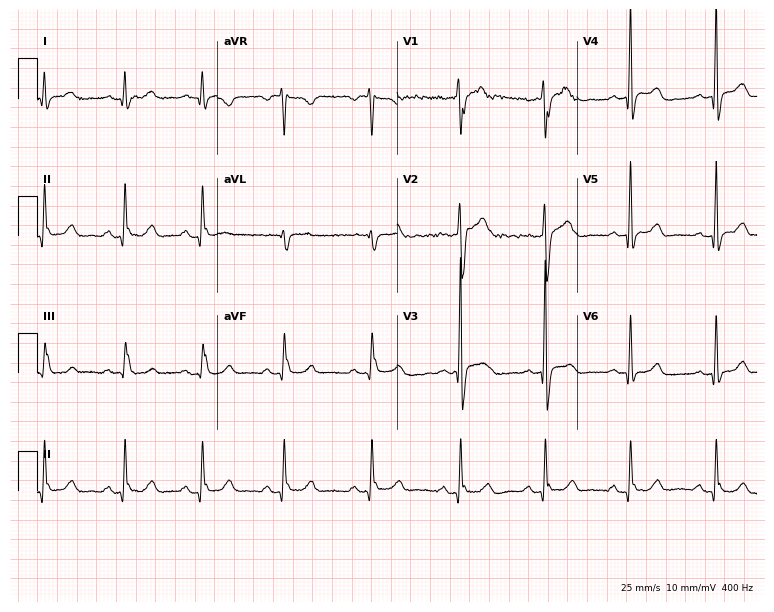
Resting 12-lead electrocardiogram. Patient: a male, 33 years old. None of these six findings is recorded: first-degree AV block, right bundle branch block (RBBB), left bundle branch block (LBBB), sinus bradycardia, atrial fibrillation (AF), sinus tachycardia.